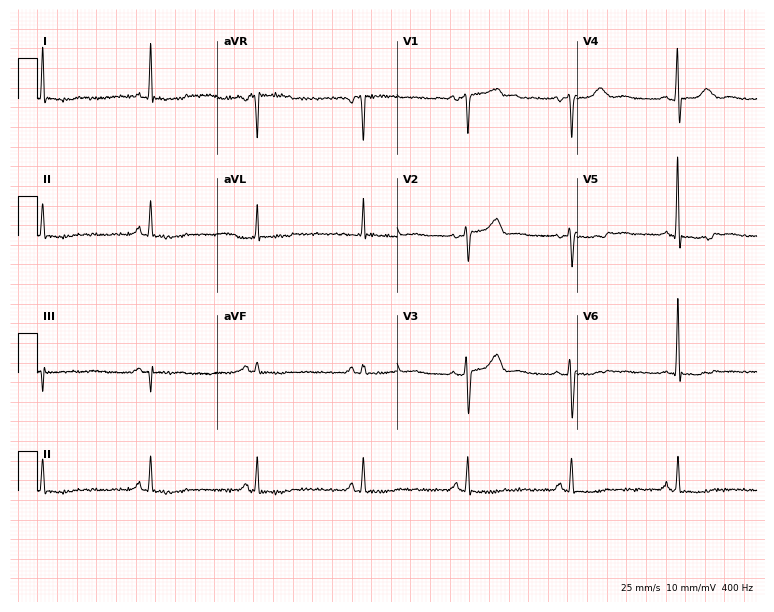
Standard 12-lead ECG recorded from a female, 70 years old. None of these six findings is recorded: first-degree AV block, right bundle branch block (RBBB), left bundle branch block (LBBB), sinus bradycardia, atrial fibrillation (AF), sinus tachycardia. Findings outside these six are not listed.